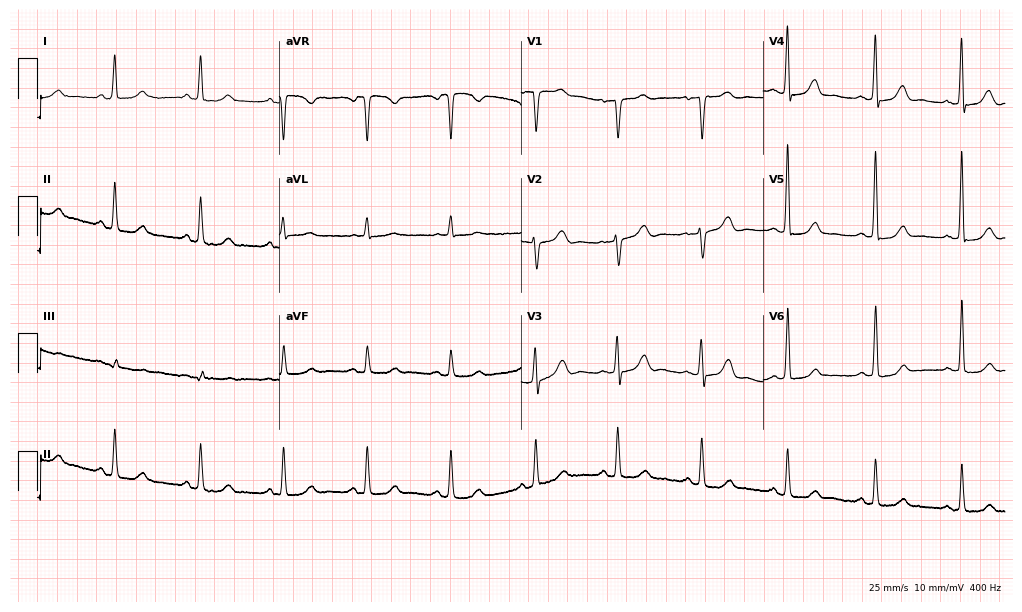
12-lead ECG from a 70-year-old woman. Recorded interpretation: within normal limits.